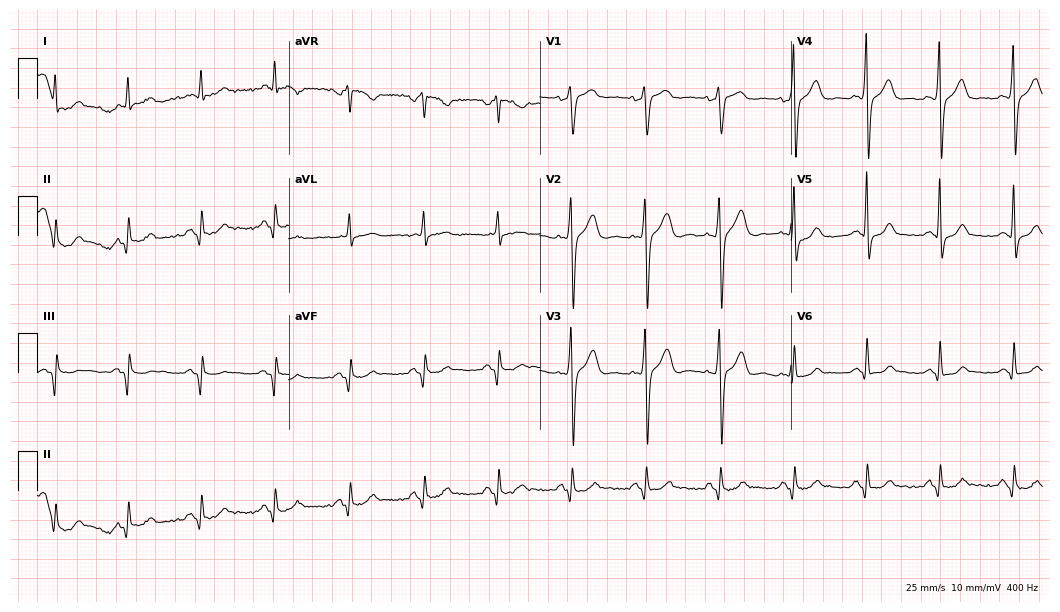
Electrocardiogram, a 60-year-old man. Of the six screened findings (first-degree AV block, right bundle branch block, left bundle branch block, sinus bradycardia, atrial fibrillation, sinus tachycardia), none is recorded.